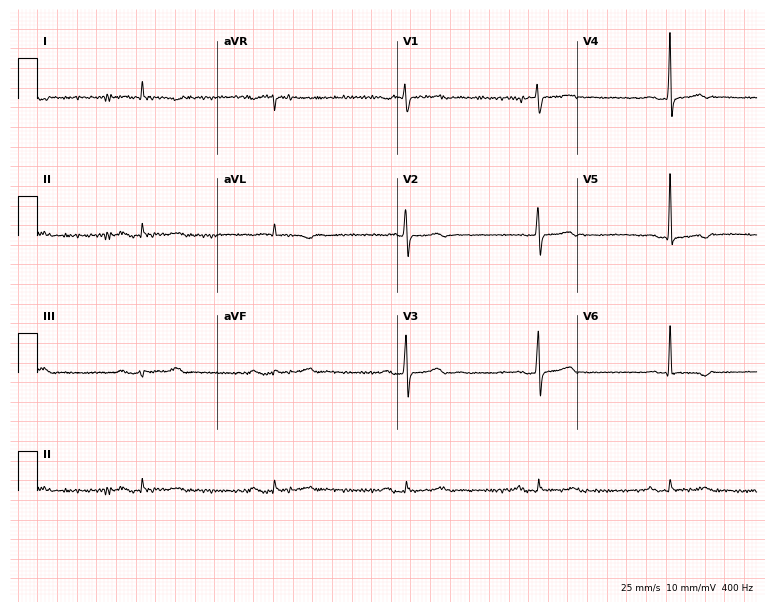
Electrocardiogram (7.3-second recording at 400 Hz), a woman, 80 years old. Interpretation includes sinus bradycardia (a sinus rate of 50 beats per minute or less).